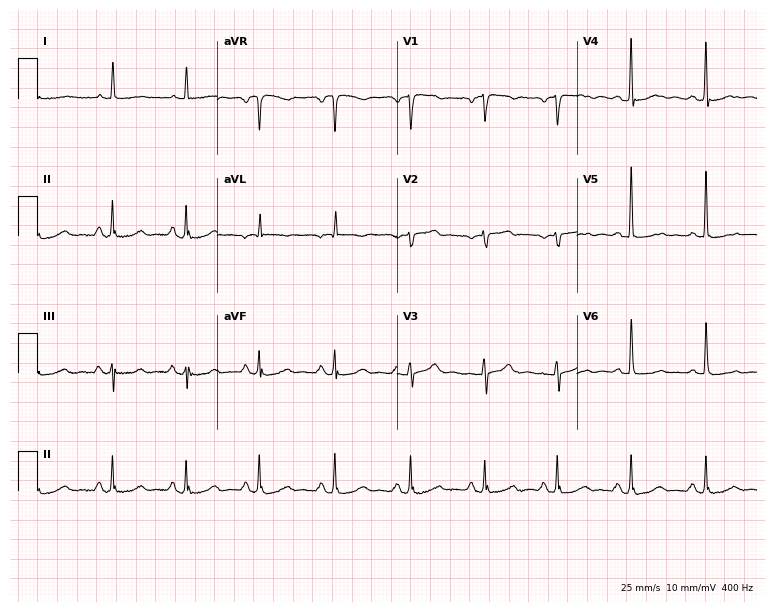
ECG — a 64-year-old woman. Screened for six findings — first-degree AV block, right bundle branch block (RBBB), left bundle branch block (LBBB), sinus bradycardia, atrial fibrillation (AF), sinus tachycardia — none is recorded.